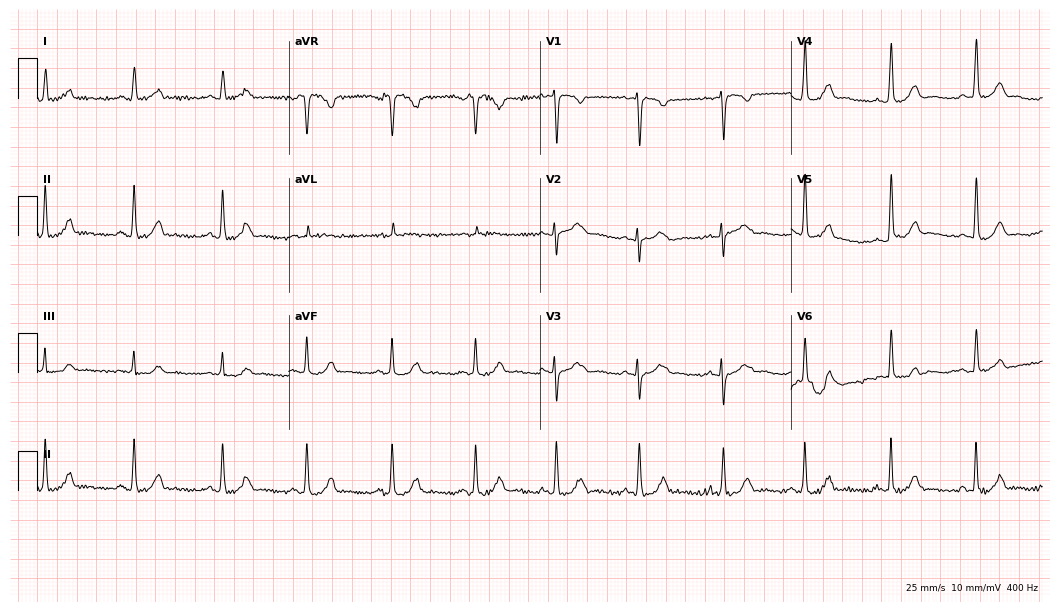
12-lead ECG from a 37-year-old woman. Labelled as a normal ECG.